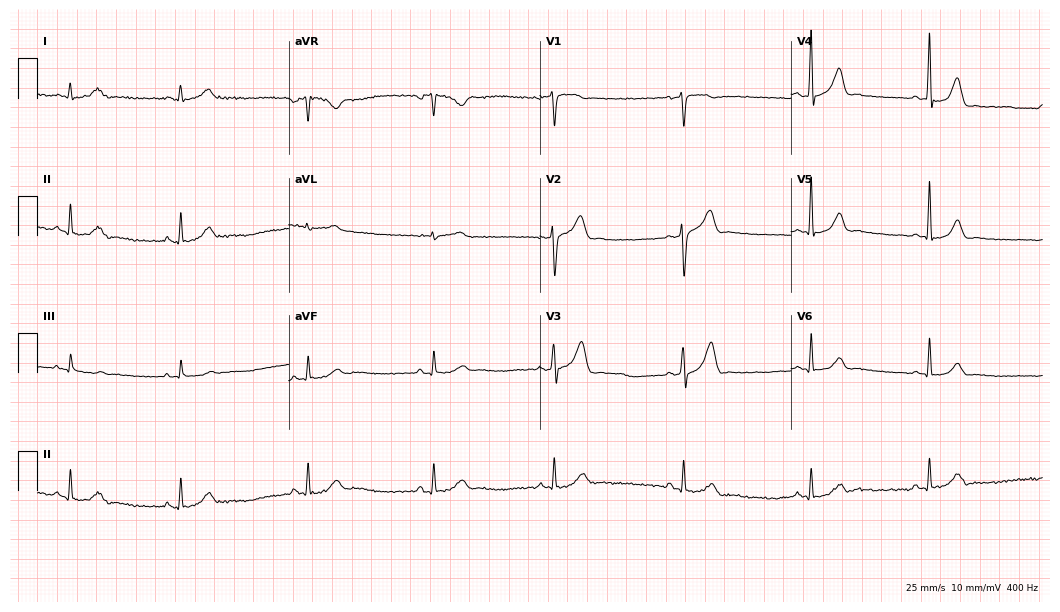
12-lead ECG from a 36-year-old man (10.2-second recording at 400 Hz). Shows sinus bradycardia (a sinus rate of 50 beats per minute or less).